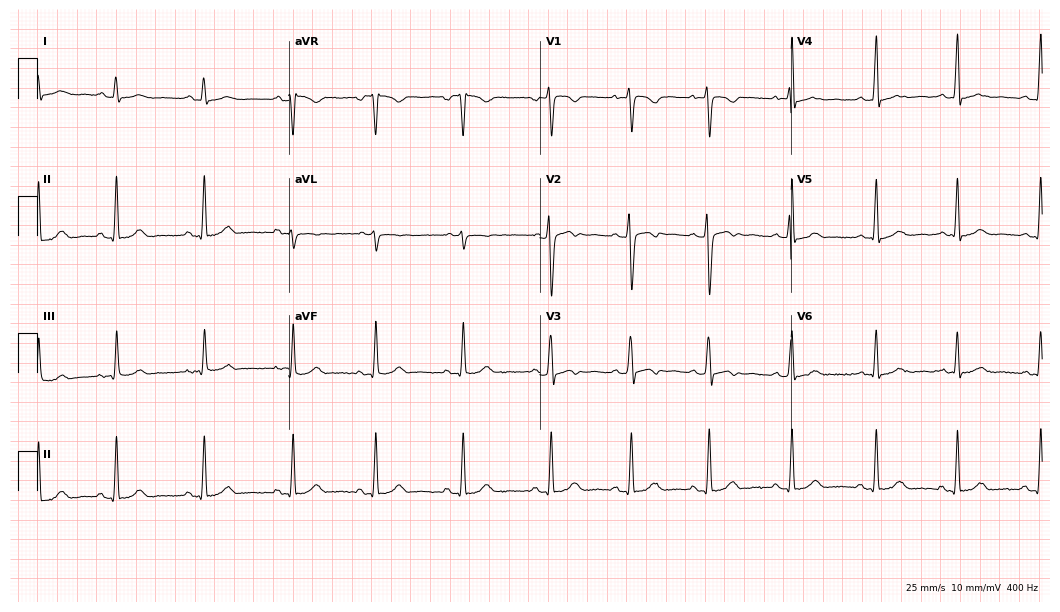
Standard 12-lead ECG recorded from a female, 18 years old. Read as a normal ECG.